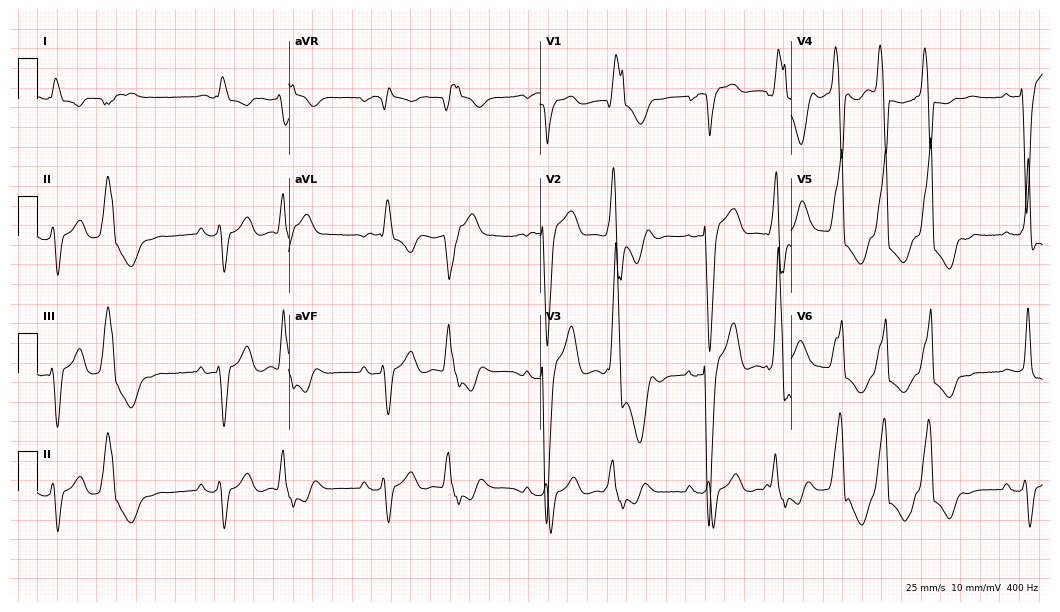
Electrocardiogram (10.2-second recording at 400 Hz), a 73-year-old male. Interpretation includes left bundle branch block, atrial fibrillation.